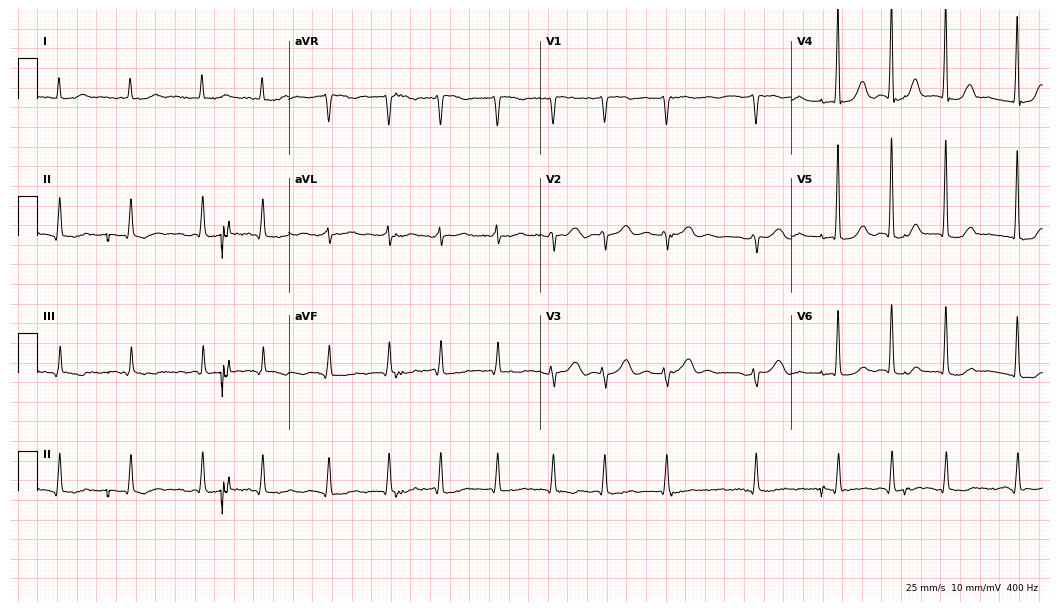
12-lead ECG from an 80-year-old female (10.2-second recording at 400 Hz). No first-degree AV block, right bundle branch block, left bundle branch block, sinus bradycardia, atrial fibrillation or sinus tachycardia recorded for this tracing. Findings outside these six are not listed.